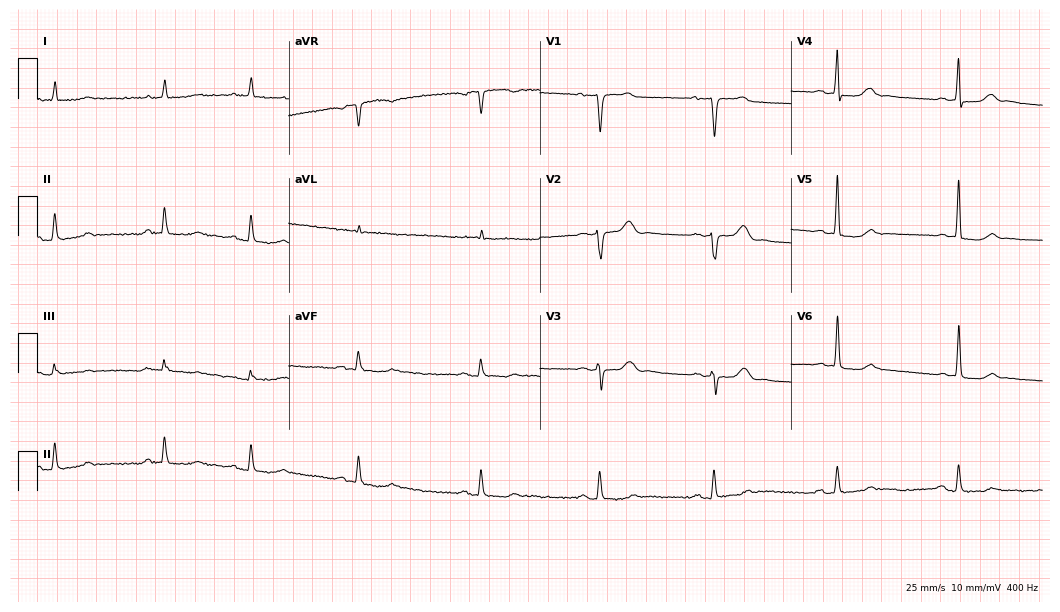
12-lead ECG (10.2-second recording at 400 Hz) from a female, 81 years old. Screened for six findings — first-degree AV block, right bundle branch block, left bundle branch block, sinus bradycardia, atrial fibrillation, sinus tachycardia — none is recorded. Only these six findings were labelled.